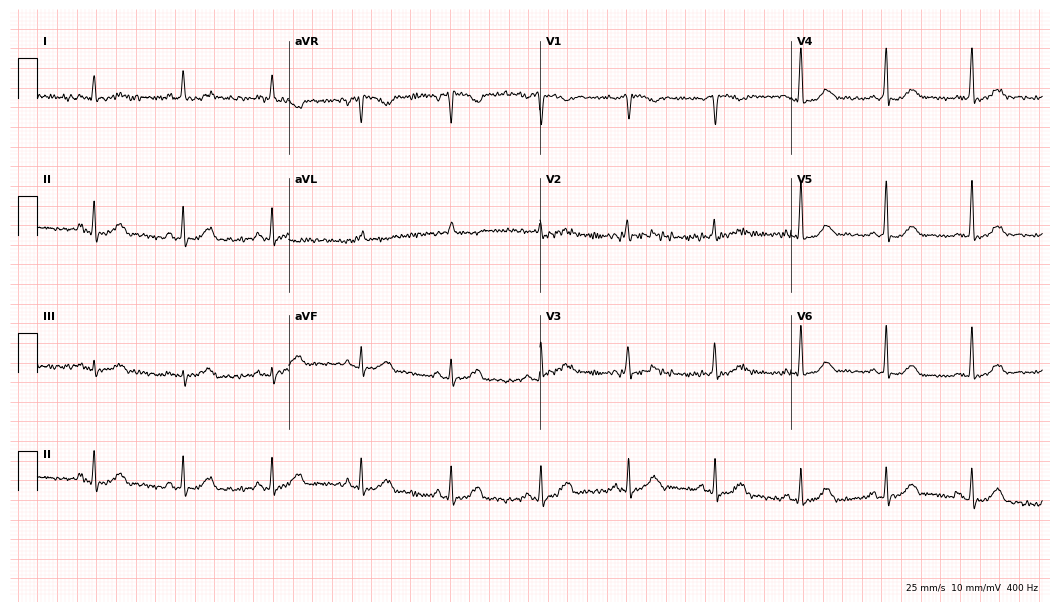
Standard 12-lead ECG recorded from a woman, 57 years old (10.2-second recording at 400 Hz). None of these six findings is recorded: first-degree AV block, right bundle branch block, left bundle branch block, sinus bradycardia, atrial fibrillation, sinus tachycardia. Findings outside these six are not listed.